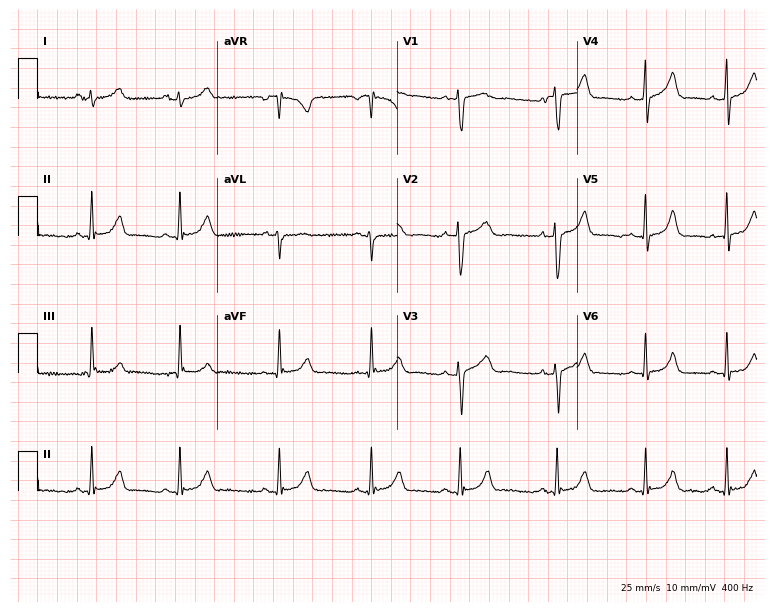
12-lead ECG (7.3-second recording at 400 Hz) from a woman, 17 years old. Labelled as a normal ECG.